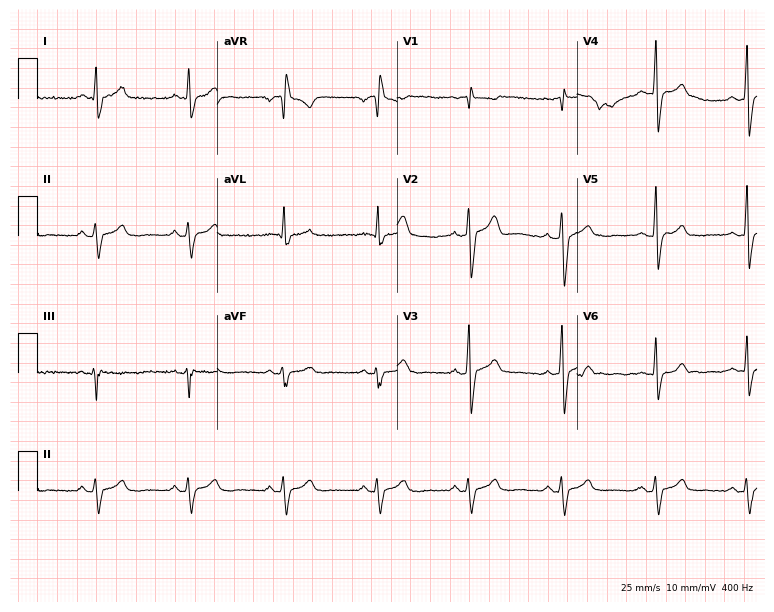
12-lead ECG (7.3-second recording at 400 Hz) from a male, 32 years old. Screened for six findings — first-degree AV block, right bundle branch block, left bundle branch block, sinus bradycardia, atrial fibrillation, sinus tachycardia — none is recorded.